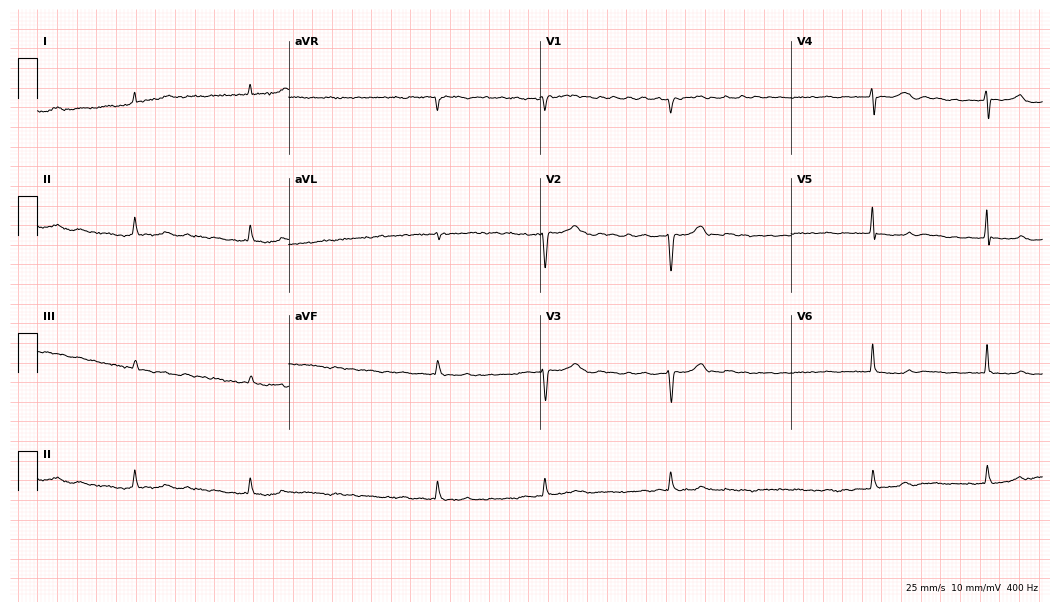
ECG — a 41-year-old female patient. Findings include atrial fibrillation (AF).